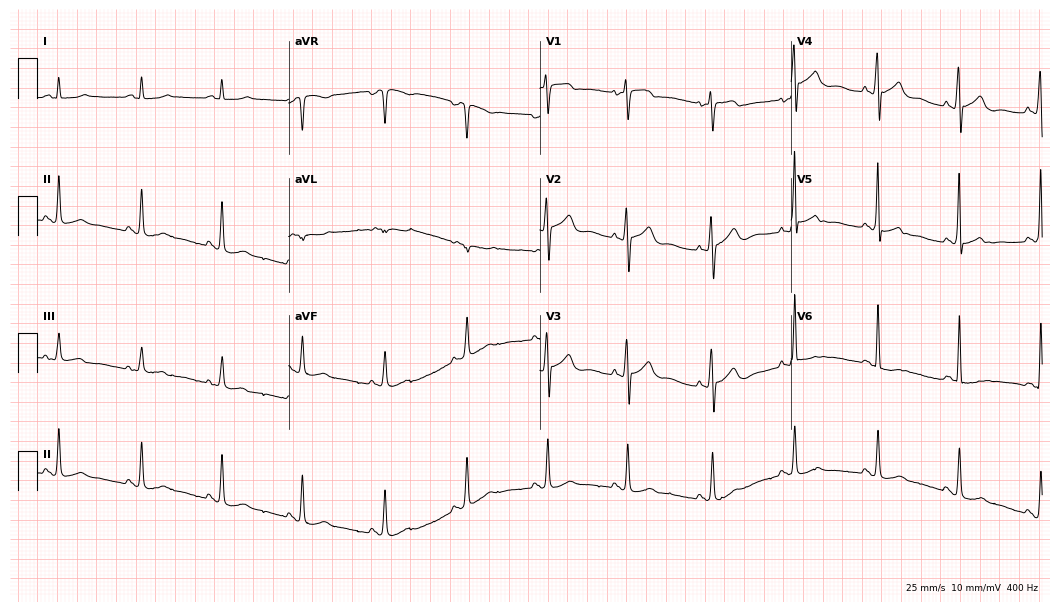
Electrocardiogram, a male, 74 years old. Overall reading on record: normal ECG.